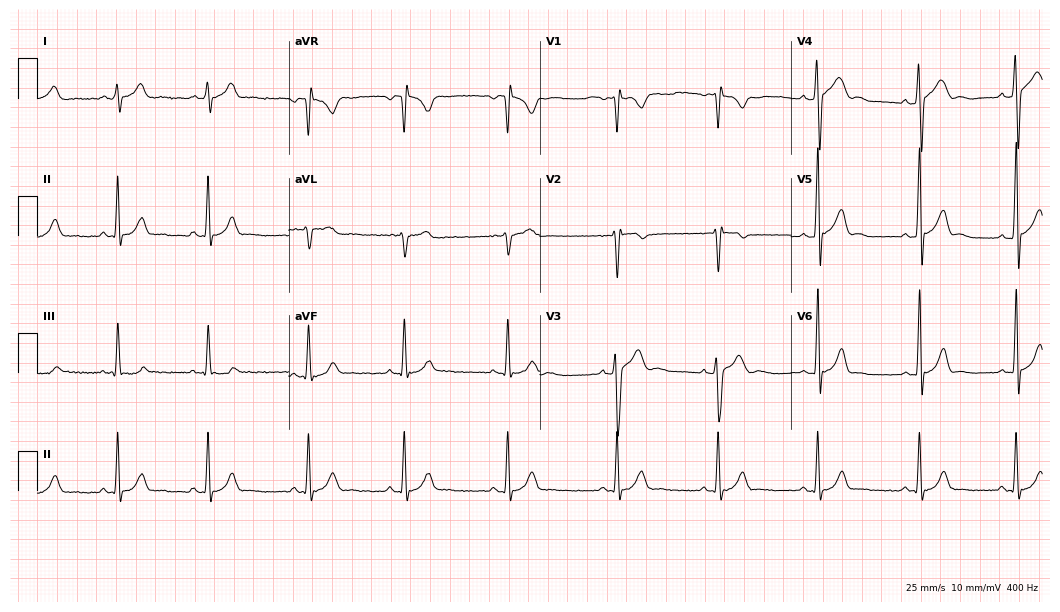
ECG — a male patient, 20 years old. Screened for six findings — first-degree AV block, right bundle branch block, left bundle branch block, sinus bradycardia, atrial fibrillation, sinus tachycardia — none is recorded. Findings outside these six are not listed.